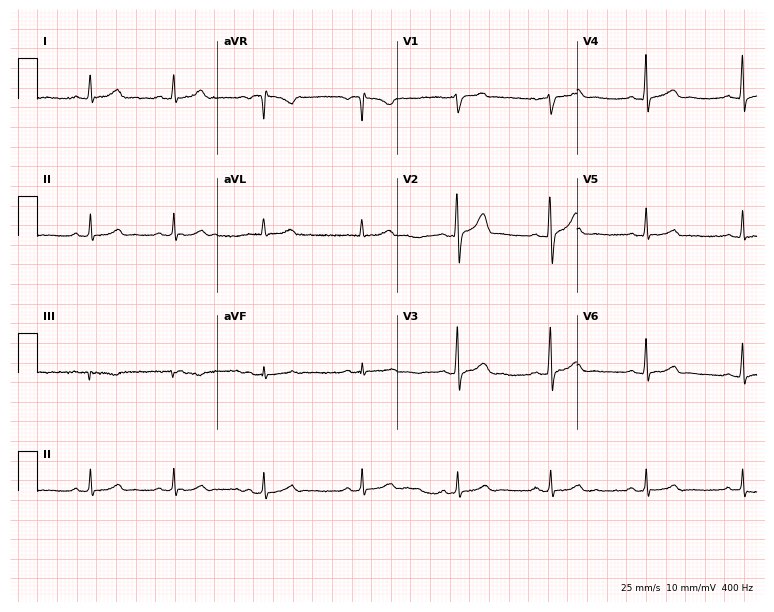
12-lead ECG from a male, 45 years old. Recorded interpretation: within normal limits.